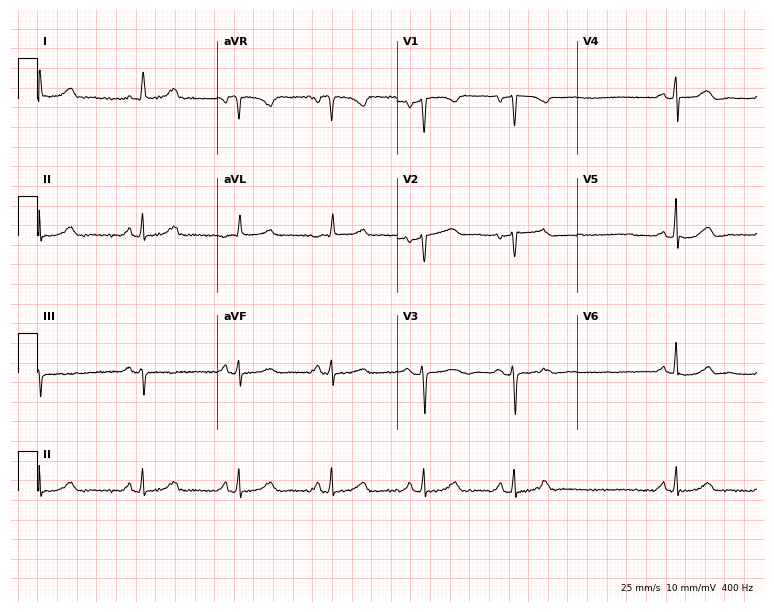
Standard 12-lead ECG recorded from a 55-year-old female patient (7.3-second recording at 400 Hz). None of these six findings is recorded: first-degree AV block, right bundle branch block, left bundle branch block, sinus bradycardia, atrial fibrillation, sinus tachycardia. Findings outside these six are not listed.